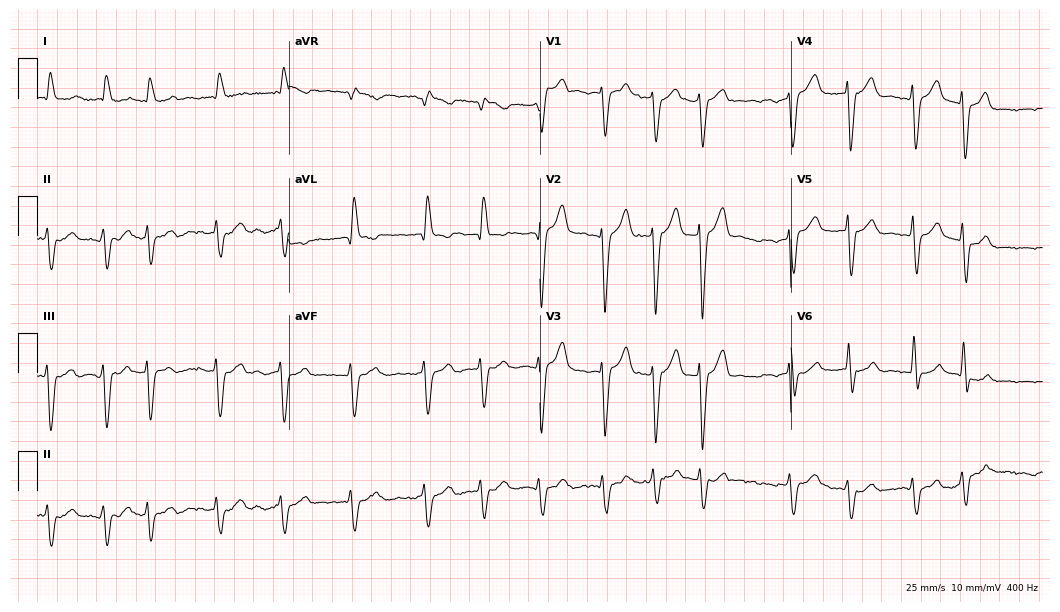
ECG — a male patient, 83 years old. Findings include atrial fibrillation.